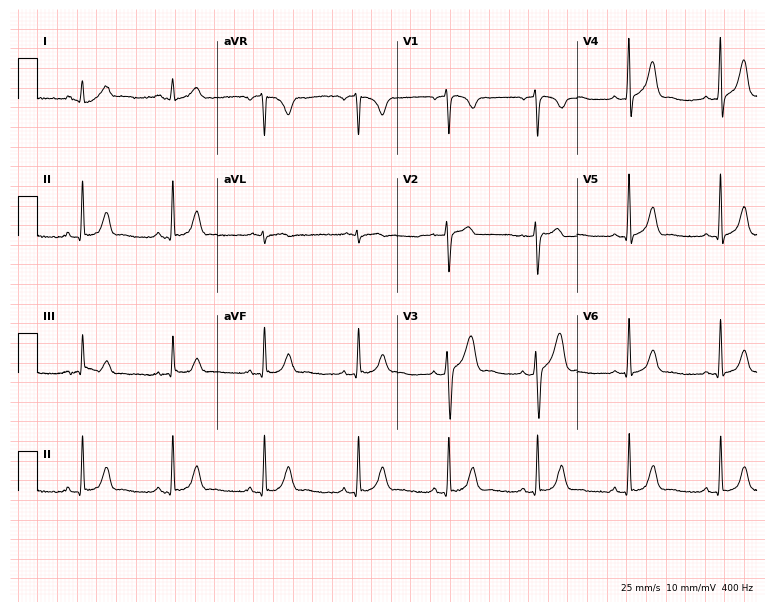
Resting 12-lead electrocardiogram. Patient: a 51-year-old male. None of these six findings is recorded: first-degree AV block, right bundle branch block, left bundle branch block, sinus bradycardia, atrial fibrillation, sinus tachycardia. Only these six findings were labelled.